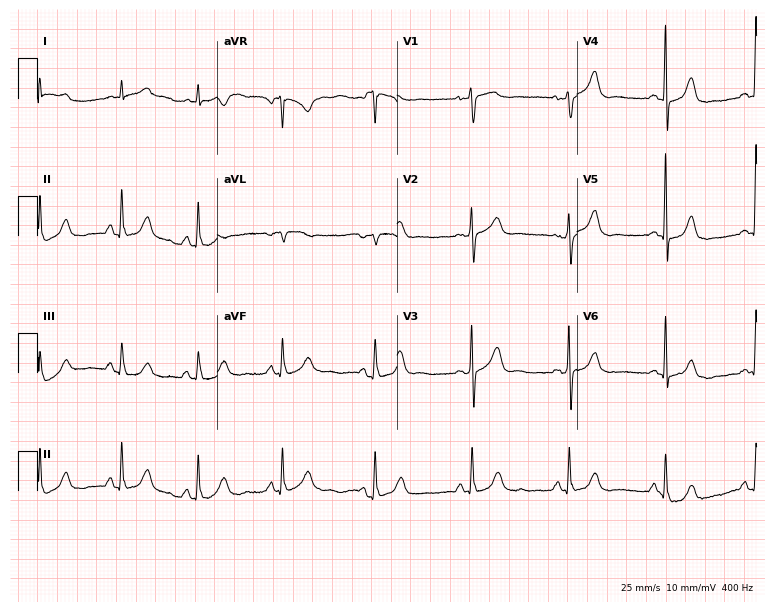
Electrocardiogram, a female patient, 52 years old. Of the six screened findings (first-degree AV block, right bundle branch block, left bundle branch block, sinus bradycardia, atrial fibrillation, sinus tachycardia), none is recorded. Findings outside these six are not listed.